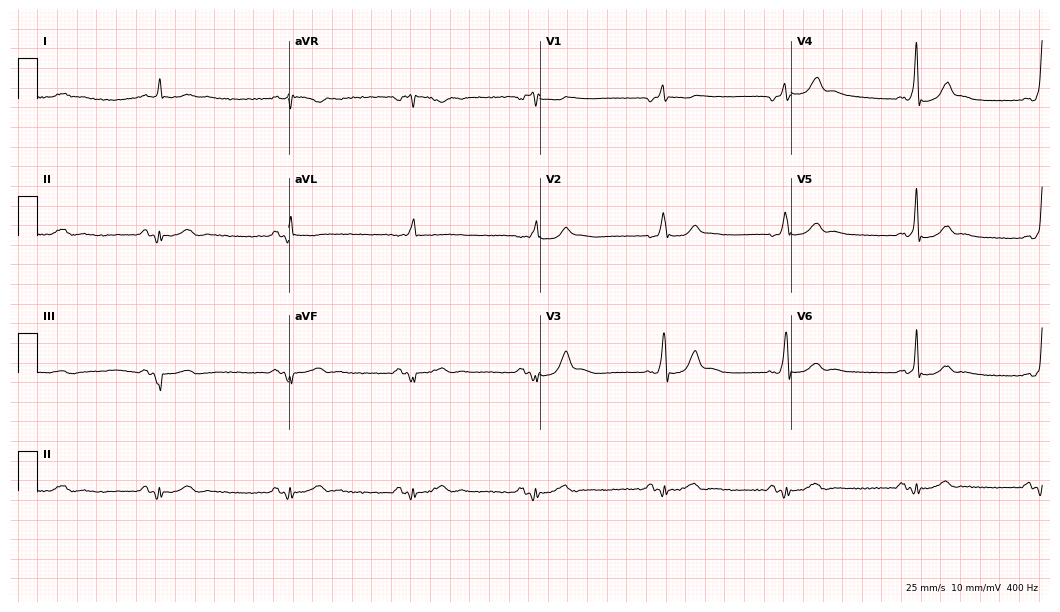
12-lead ECG from a male, 62 years old. Findings include sinus bradycardia (a sinus rate of 50 beats per minute or less).